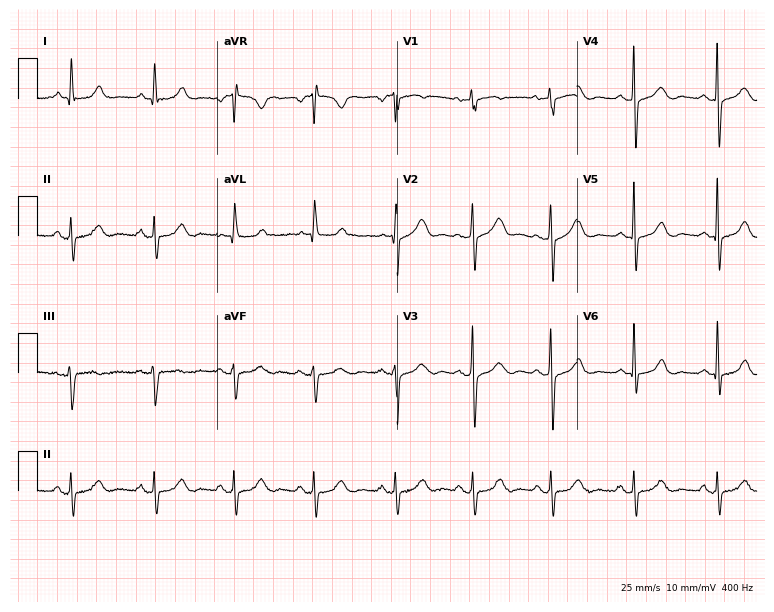
12-lead ECG from a 61-year-old woman (7.3-second recording at 400 Hz). No first-degree AV block, right bundle branch block, left bundle branch block, sinus bradycardia, atrial fibrillation or sinus tachycardia recorded for this tracing. Only these six findings were labelled.